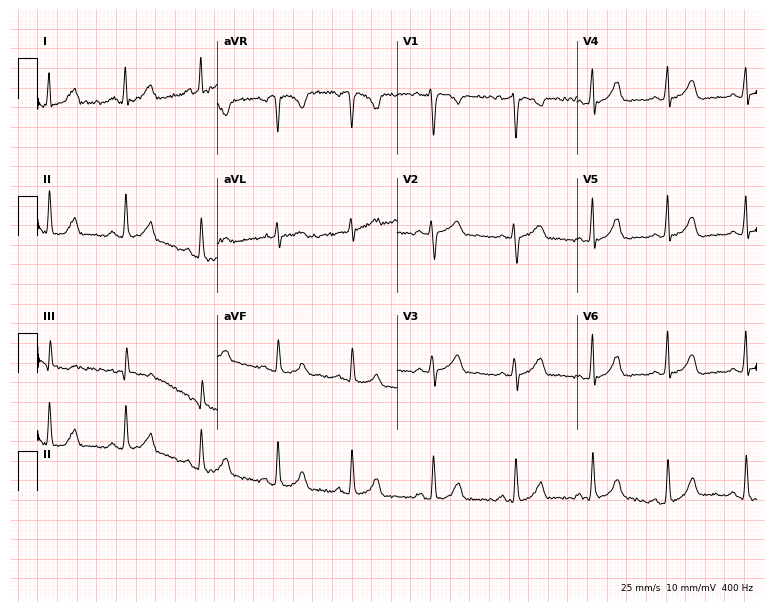
Resting 12-lead electrocardiogram. Patient: a 31-year-old woman. None of these six findings is recorded: first-degree AV block, right bundle branch block, left bundle branch block, sinus bradycardia, atrial fibrillation, sinus tachycardia. Only these six findings were labelled.